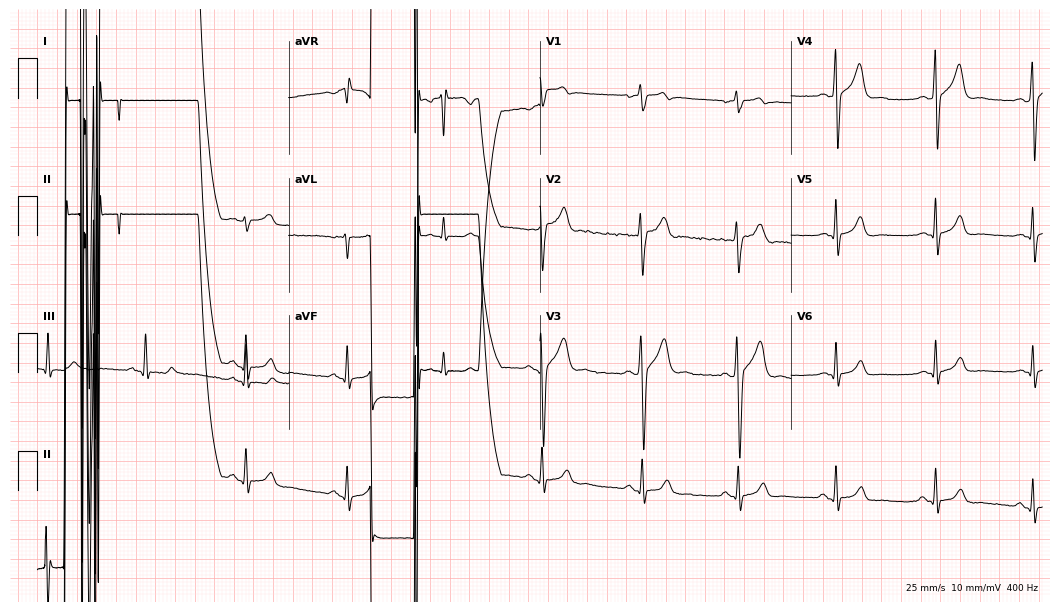
12-lead ECG from a 24-year-old male patient (10.2-second recording at 400 Hz). No first-degree AV block, right bundle branch block, left bundle branch block, sinus bradycardia, atrial fibrillation or sinus tachycardia recorded for this tracing.